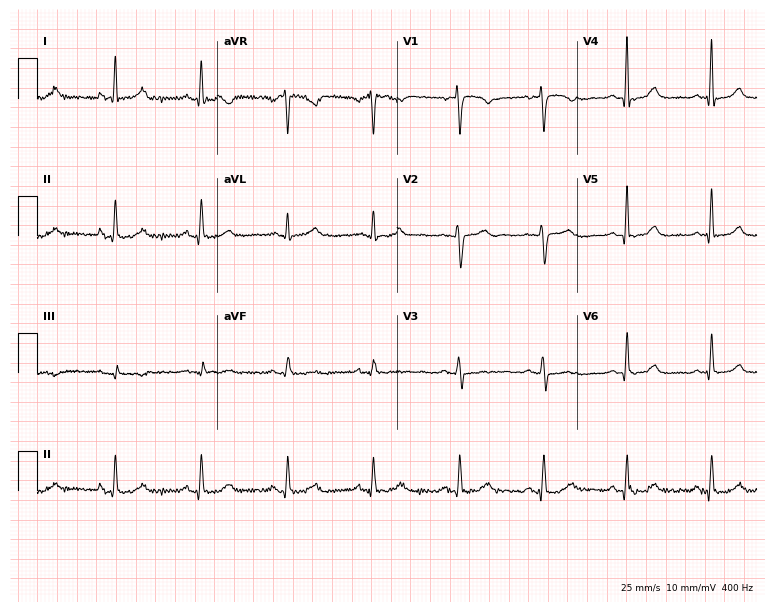
12-lead ECG from a man, 51 years old. No first-degree AV block, right bundle branch block (RBBB), left bundle branch block (LBBB), sinus bradycardia, atrial fibrillation (AF) or sinus tachycardia recorded for this tracing. Only these six findings were labelled.